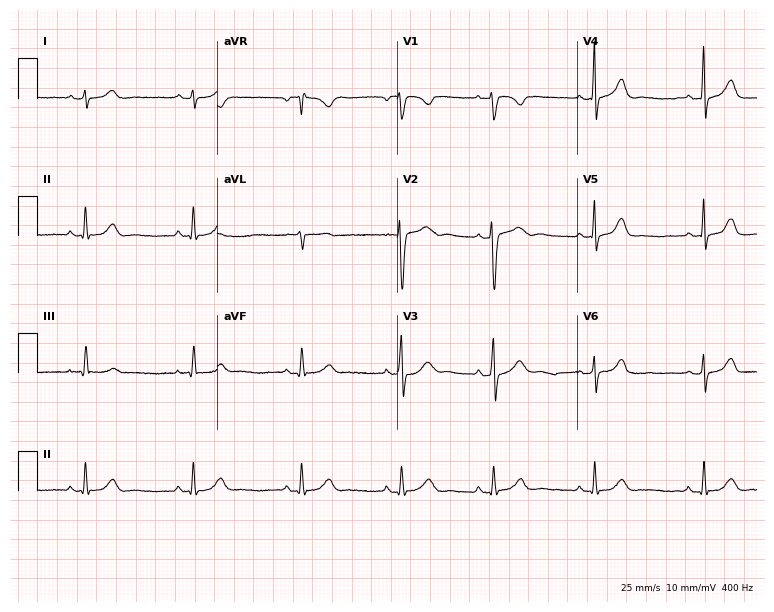
Resting 12-lead electrocardiogram (7.3-second recording at 400 Hz). Patient: a 25-year-old female. None of these six findings is recorded: first-degree AV block, right bundle branch block, left bundle branch block, sinus bradycardia, atrial fibrillation, sinus tachycardia.